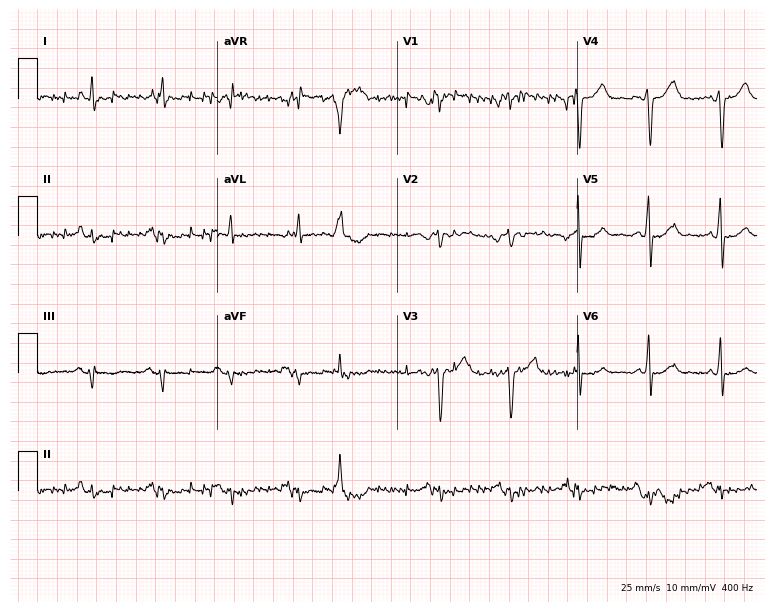
Electrocardiogram, a 73-year-old male patient. Of the six screened findings (first-degree AV block, right bundle branch block (RBBB), left bundle branch block (LBBB), sinus bradycardia, atrial fibrillation (AF), sinus tachycardia), none is recorded. Other findings, if any, are not listed.